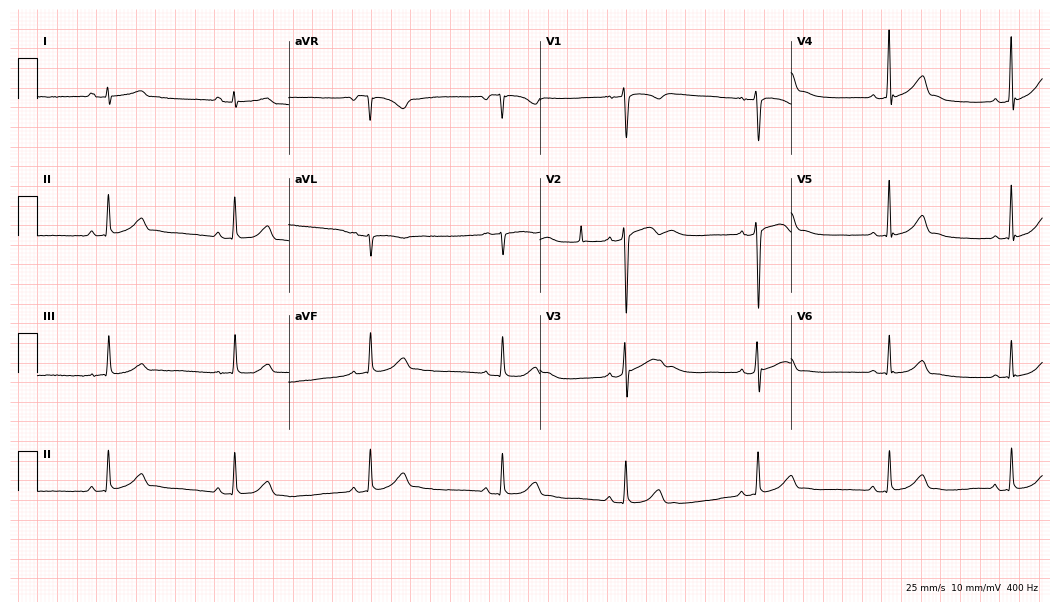
ECG (10.2-second recording at 400 Hz) — a man, 19 years old. Findings include sinus bradycardia (a sinus rate of 50 beats per minute or less).